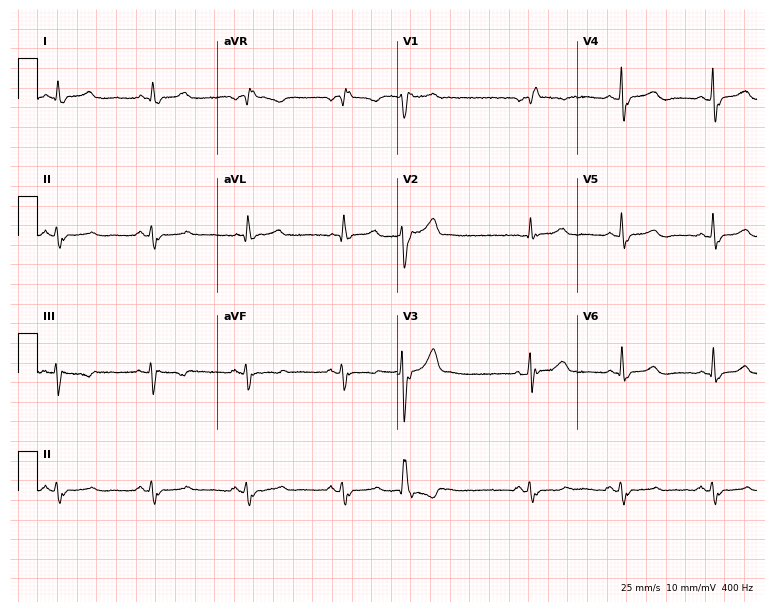
Standard 12-lead ECG recorded from a male, 81 years old. The tracing shows right bundle branch block.